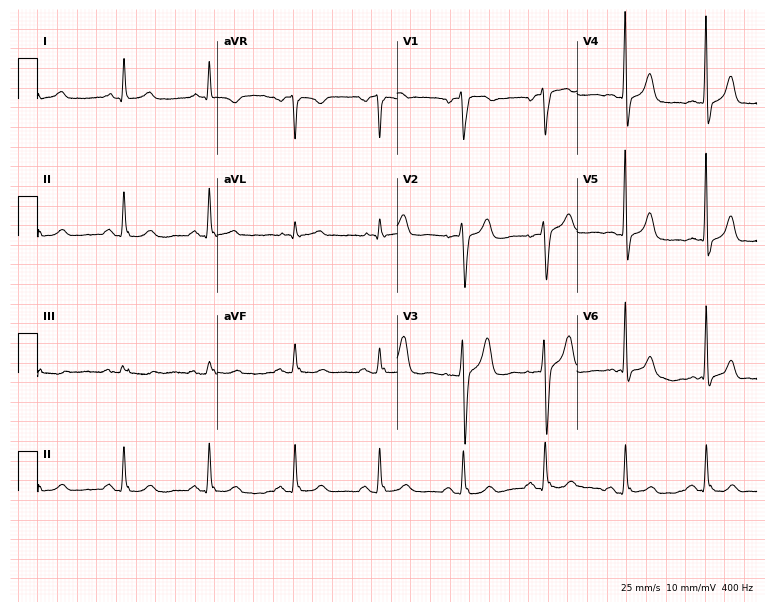
Electrocardiogram (7.3-second recording at 400 Hz), a 62-year-old male. Overall reading on record: normal ECG.